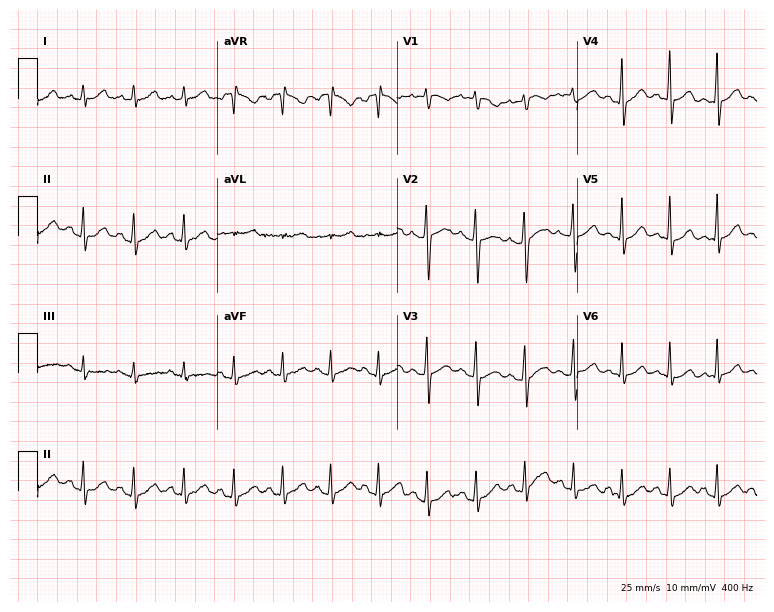
Standard 12-lead ECG recorded from a female patient, 23 years old. The tracing shows sinus tachycardia (a sinus rate of 100 beats per minute or more).